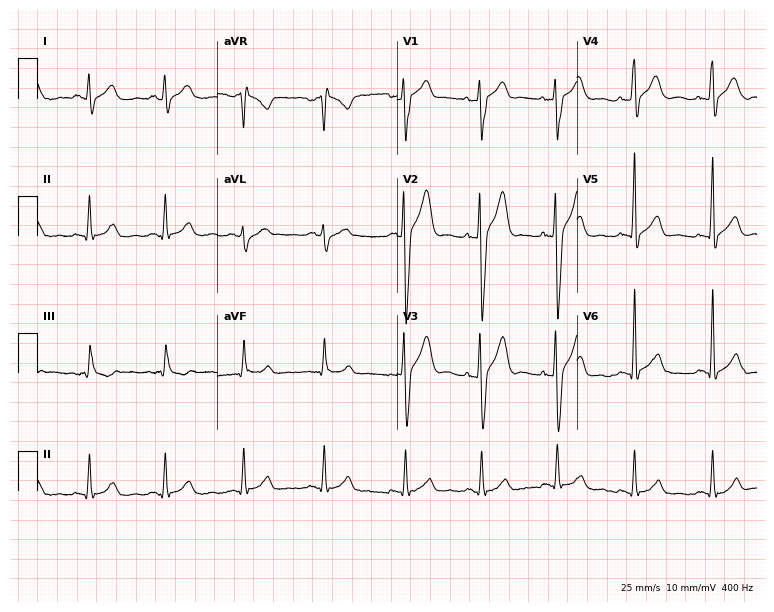
Resting 12-lead electrocardiogram. Patient: a male, 37 years old. Read as a normal ECG.